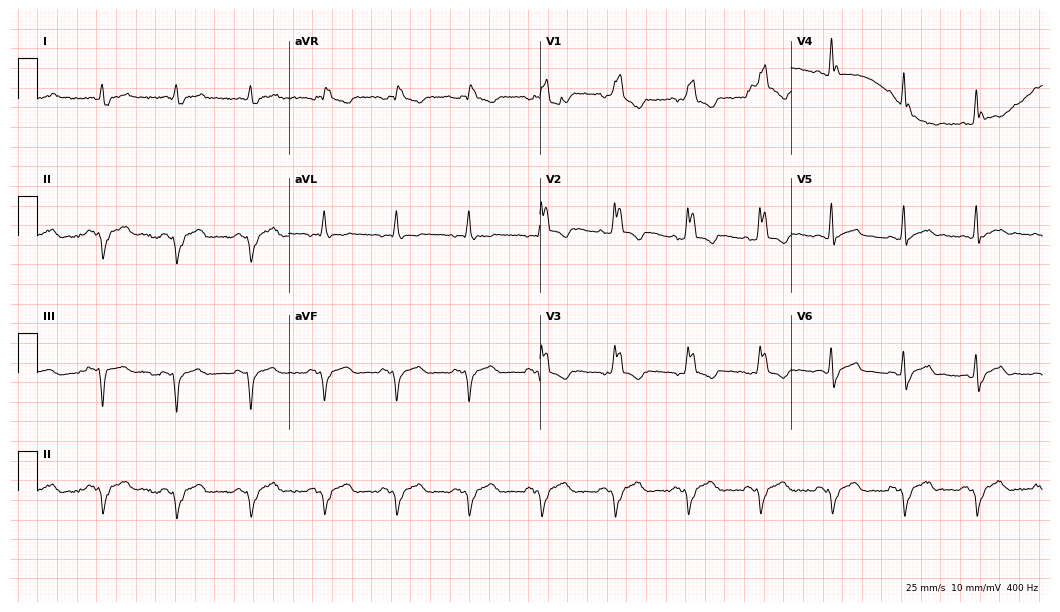
Standard 12-lead ECG recorded from a 50-year-old male patient. The tracing shows right bundle branch block.